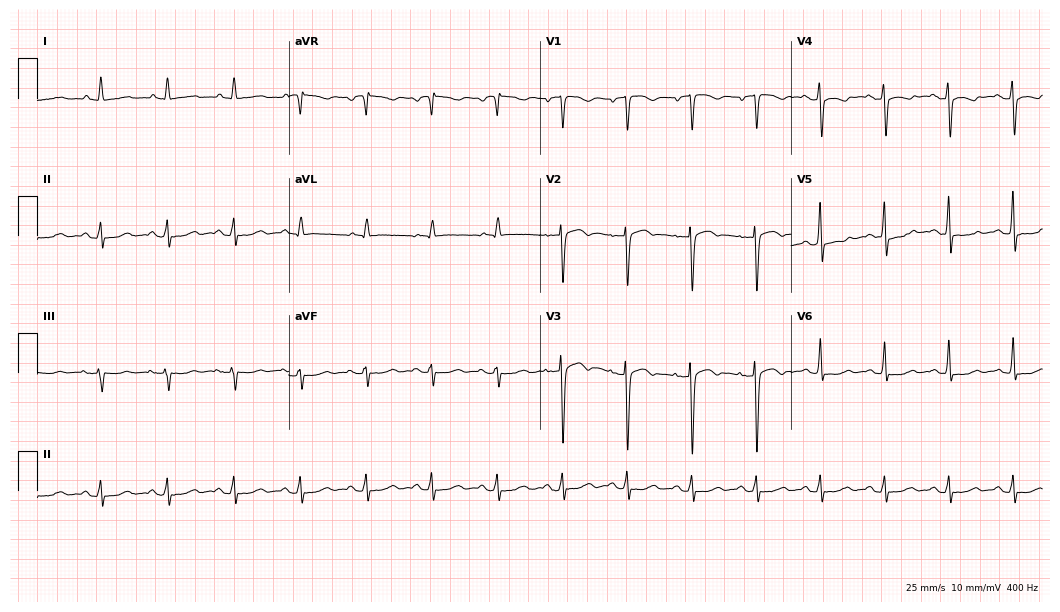
Standard 12-lead ECG recorded from a 64-year-old female (10.2-second recording at 400 Hz). None of these six findings is recorded: first-degree AV block, right bundle branch block, left bundle branch block, sinus bradycardia, atrial fibrillation, sinus tachycardia.